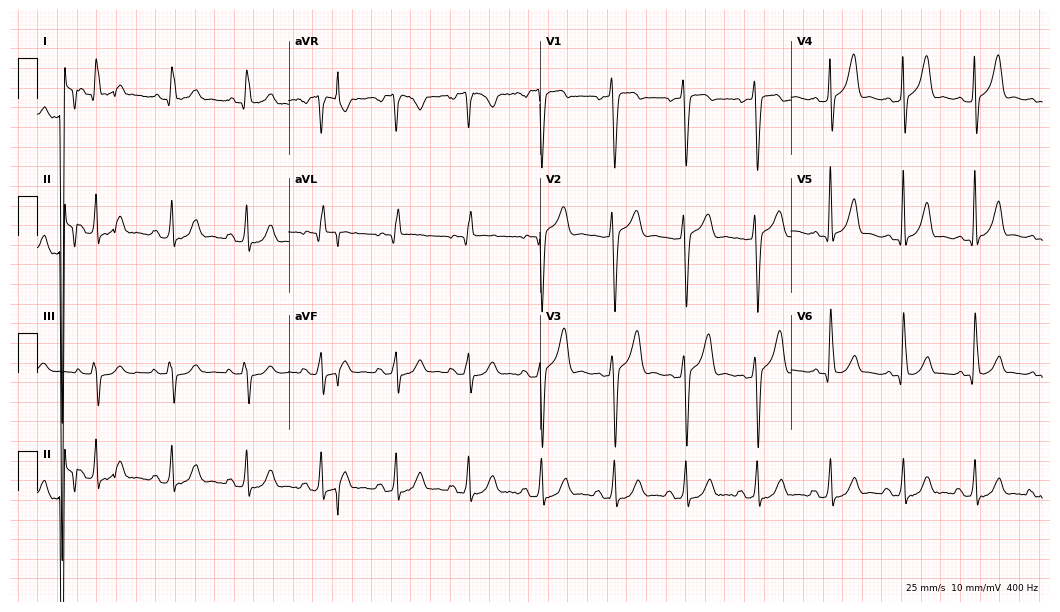
Electrocardiogram (10.2-second recording at 400 Hz), a 22-year-old male patient. Of the six screened findings (first-degree AV block, right bundle branch block (RBBB), left bundle branch block (LBBB), sinus bradycardia, atrial fibrillation (AF), sinus tachycardia), none is recorded.